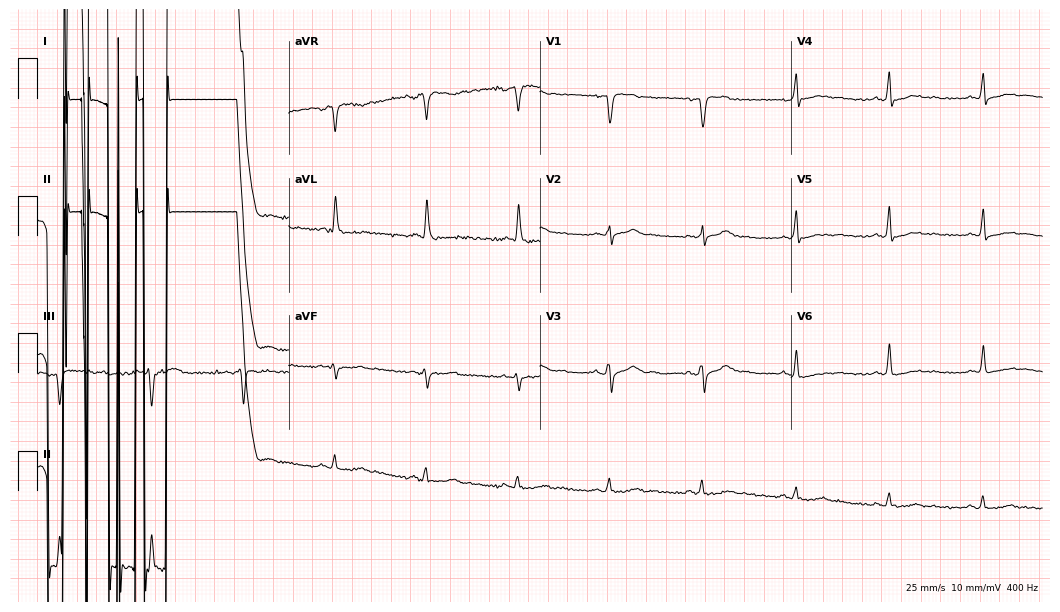
Resting 12-lead electrocardiogram. Patient: a male, 71 years old. None of these six findings is recorded: first-degree AV block, right bundle branch block, left bundle branch block, sinus bradycardia, atrial fibrillation, sinus tachycardia.